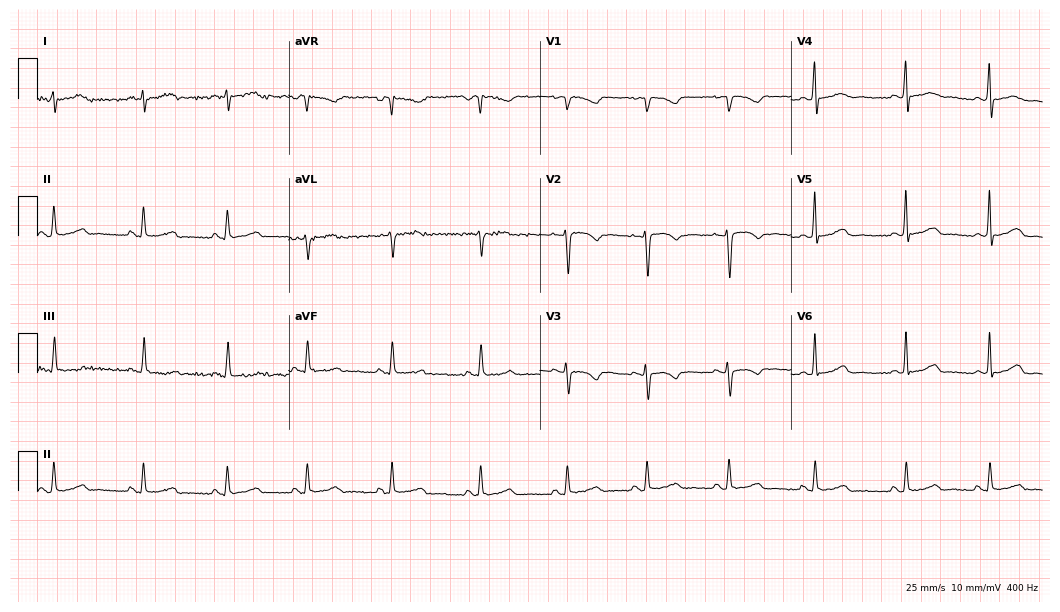
12-lead ECG from a 30-year-old female. Recorded interpretation: within normal limits.